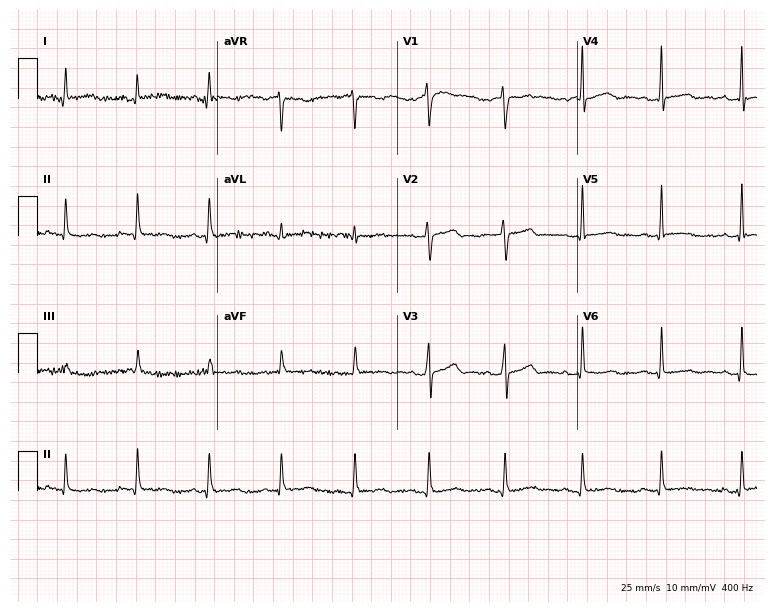
Resting 12-lead electrocardiogram (7.3-second recording at 400 Hz). Patient: a female, 36 years old. None of these six findings is recorded: first-degree AV block, right bundle branch block, left bundle branch block, sinus bradycardia, atrial fibrillation, sinus tachycardia.